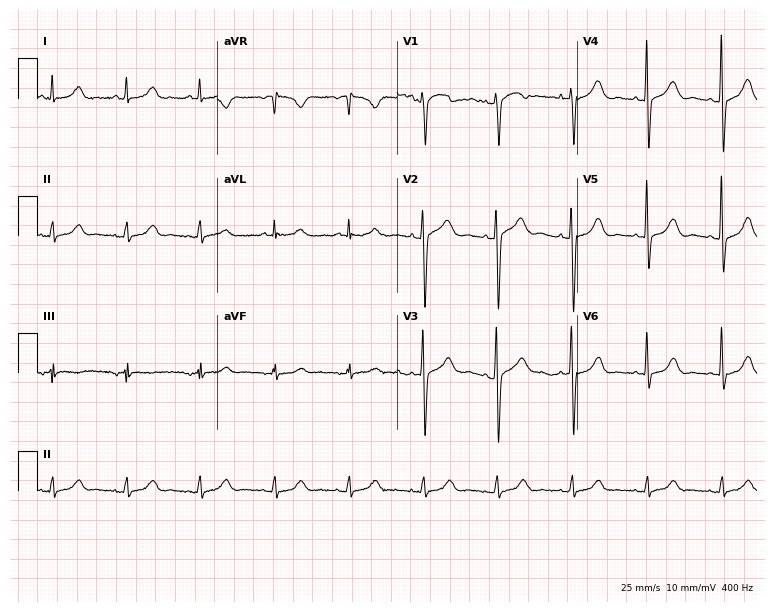
Resting 12-lead electrocardiogram (7.3-second recording at 400 Hz). Patient: a 75-year-old female. Read as a normal ECG.